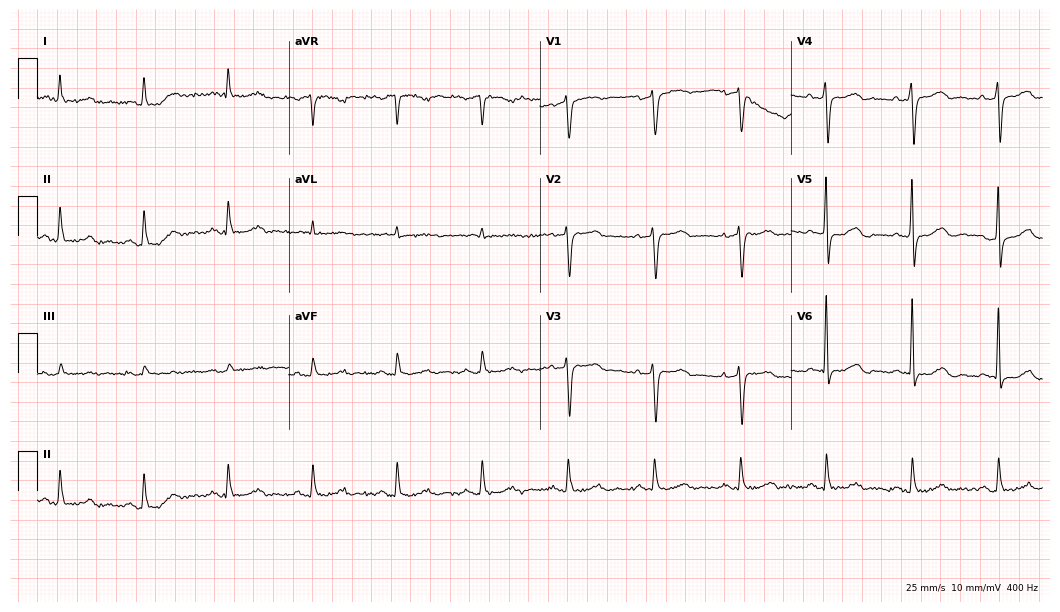
Resting 12-lead electrocardiogram (10.2-second recording at 400 Hz). Patient: a 78-year-old man. Read as a normal ECG.